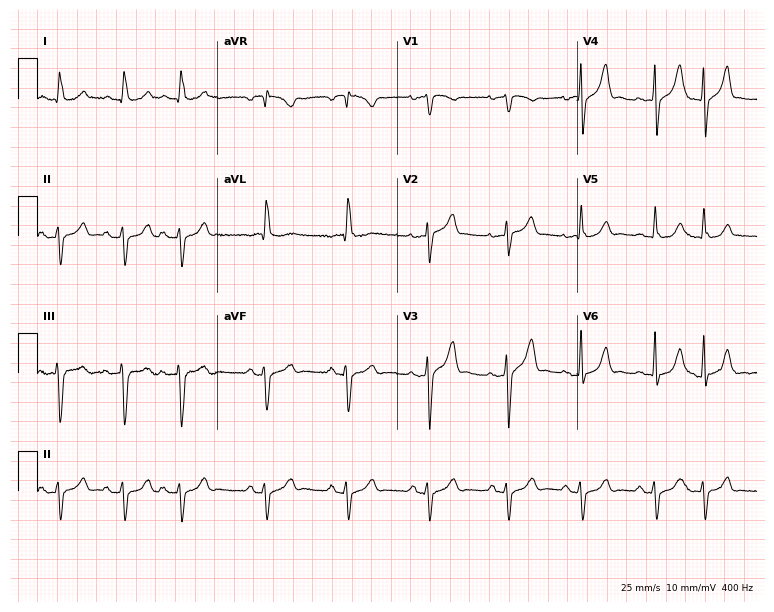
Standard 12-lead ECG recorded from a 75-year-old male patient (7.3-second recording at 400 Hz). Read as a normal ECG.